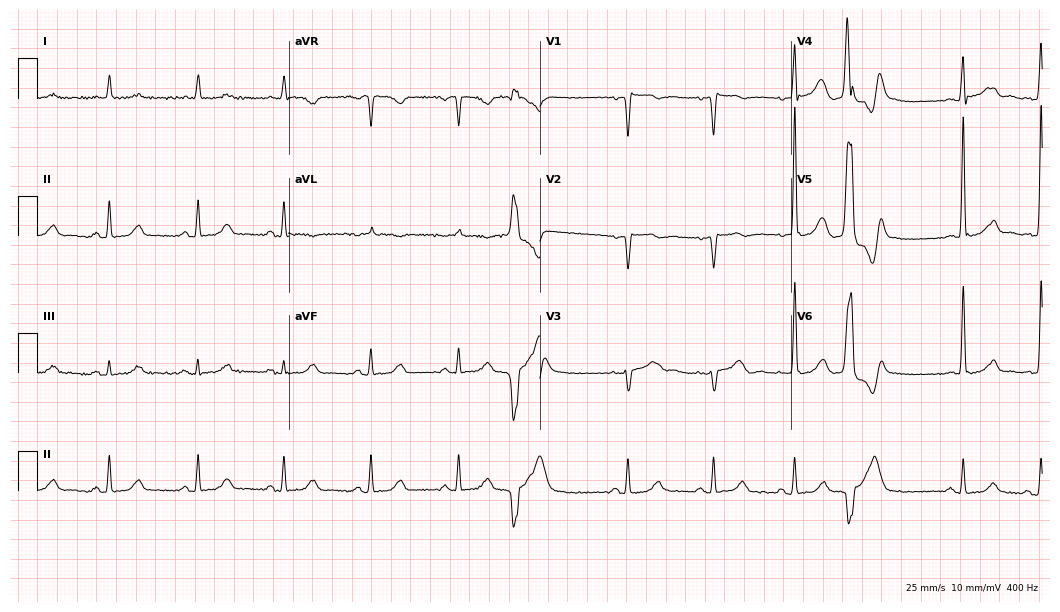
Resting 12-lead electrocardiogram (10.2-second recording at 400 Hz). Patient: a female, 85 years old. None of these six findings is recorded: first-degree AV block, right bundle branch block, left bundle branch block, sinus bradycardia, atrial fibrillation, sinus tachycardia.